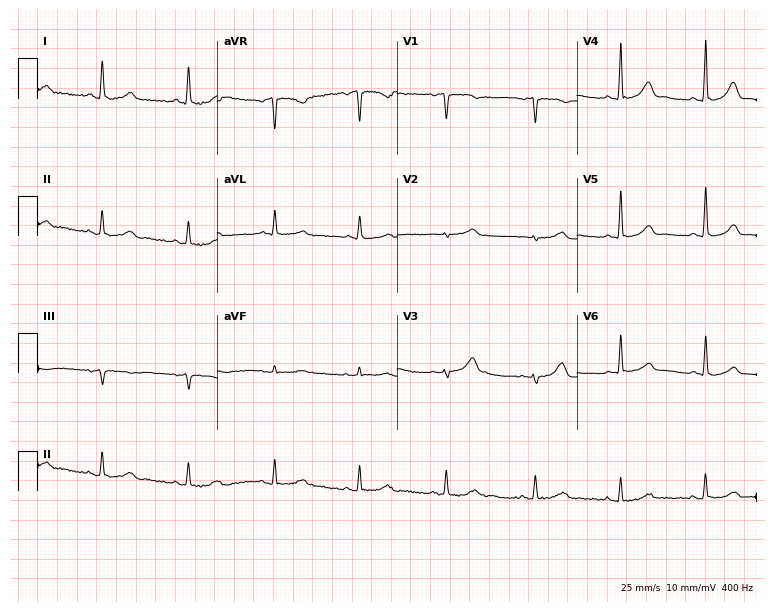
Electrocardiogram (7.3-second recording at 400 Hz), a female, 62 years old. Of the six screened findings (first-degree AV block, right bundle branch block (RBBB), left bundle branch block (LBBB), sinus bradycardia, atrial fibrillation (AF), sinus tachycardia), none is recorded.